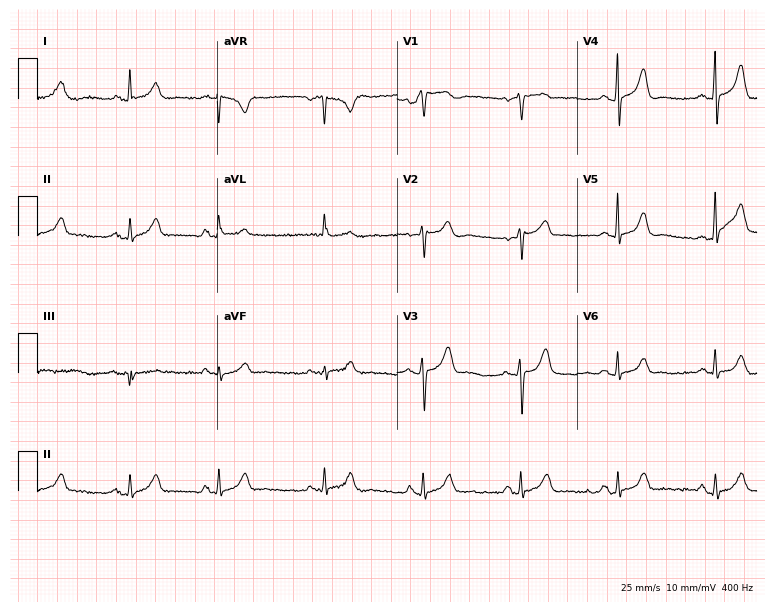
Resting 12-lead electrocardiogram. Patient: a 70-year-old woman. None of these six findings is recorded: first-degree AV block, right bundle branch block, left bundle branch block, sinus bradycardia, atrial fibrillation, sinus tachycardia.